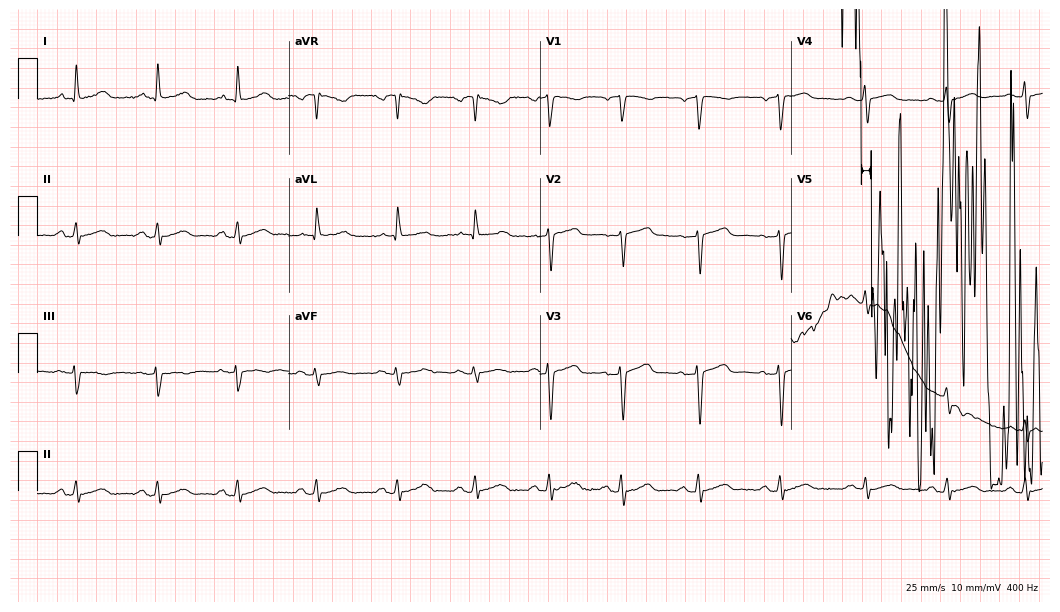
Resting 12-lead electrocardiogram. Patient: a female, 58 years old. None of these six findings is recorded: first-degree AV block, right bundle branch block, left bundle branch block, sinus bradycardia, atrial fibrillation, sinus tachycardia. Only these six findings were labelled.